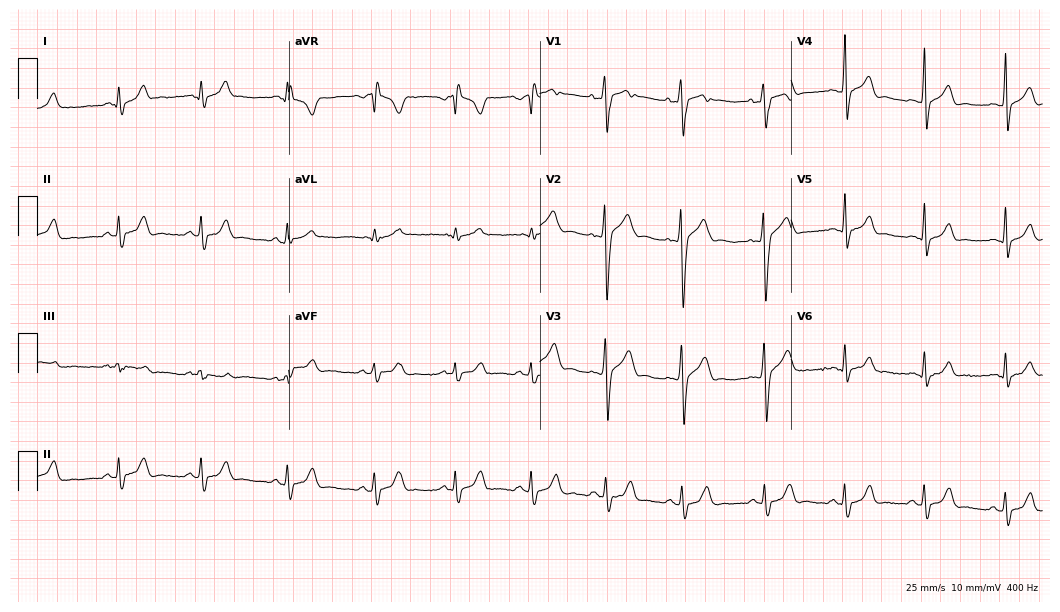
12-lead ECG from a male, 19 years old. Labelled as a normal ECG.